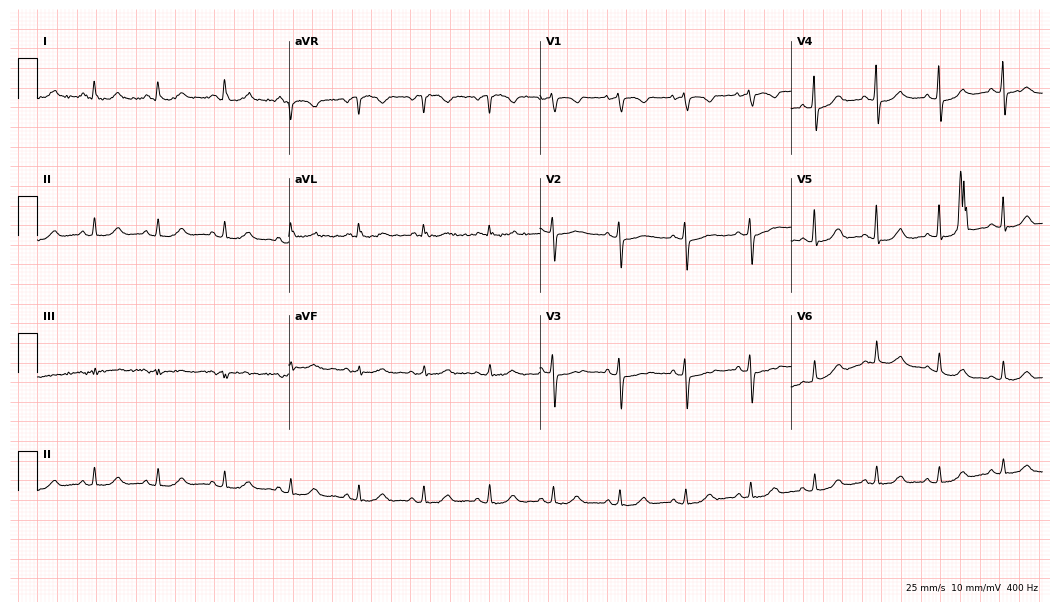
ECG (10.2-second recording at 400 Hz) — a 66-year-old woman. Labelled as a normal ECG.